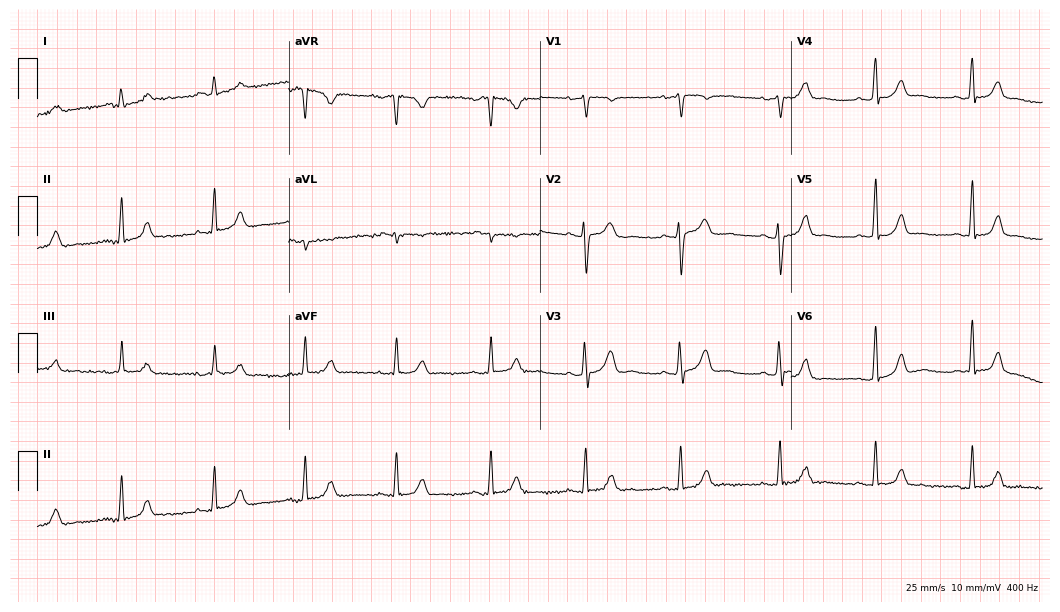
12-lead ECG (10.2-second recording at 400 Hz) from a 42-year-old female. Labelled as a normal ECG.